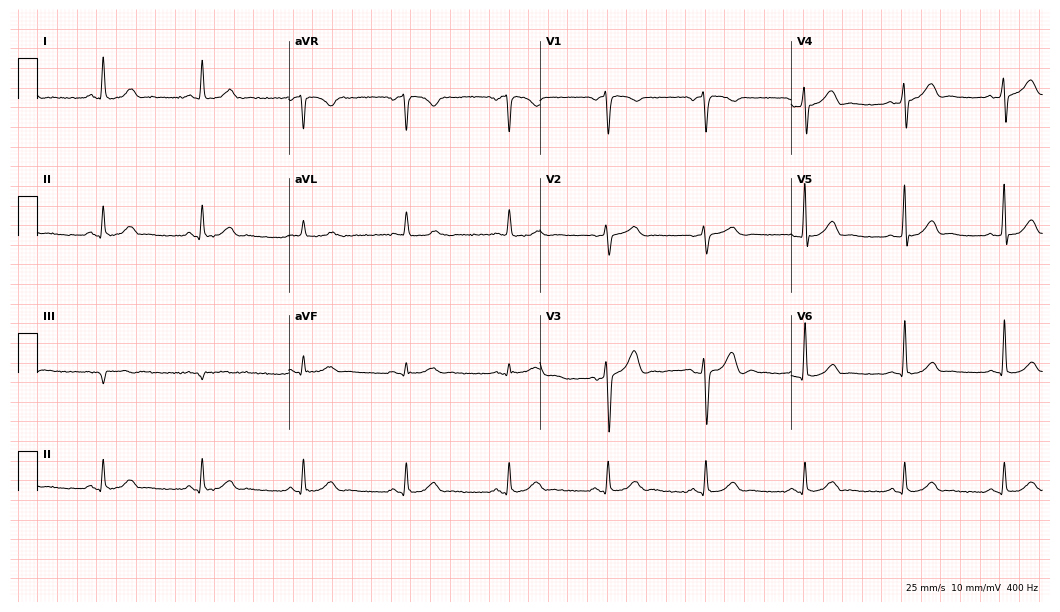
Electrocardiogram, a 58-year-old male. Overall reading on record: normal ECG.